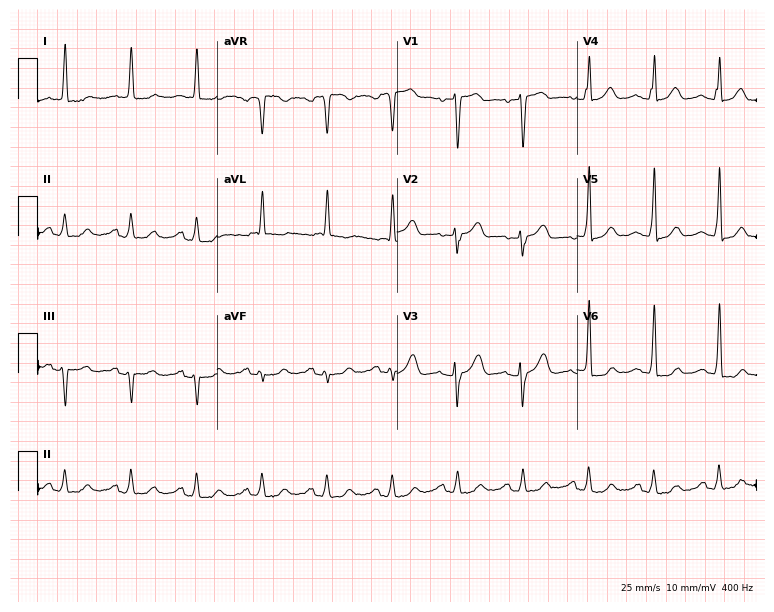
Resting 12-lead electrocardiogram (7.3-second recording at 400 Hz). Patient: a female, 76 years old. None of these six findings is recorded: first-degree AV block, right bundle branch block, left bundle branch block, sinus bradycardia, atrial fibrillation, sinus tachycardia.